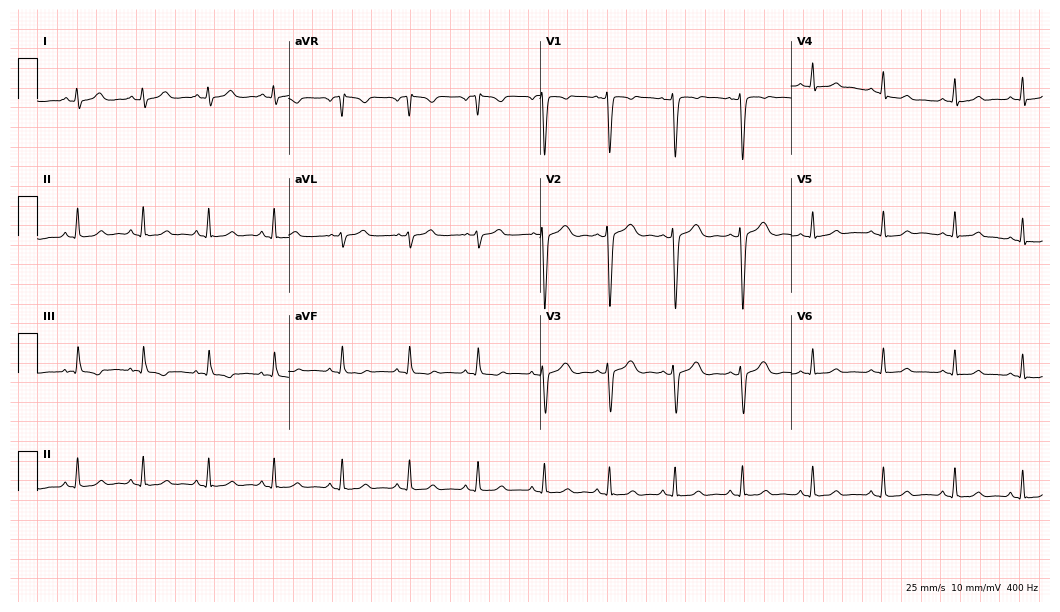
Electrocardiogram, a woman, 25 years old. Of the six screened findings (first-degree AV block, right bundle branch block (RBBB), left bundle branch block (LBBB), sinus bradycardia, atrial fibrillation (AF), sinus tachycardia), none is recorded.